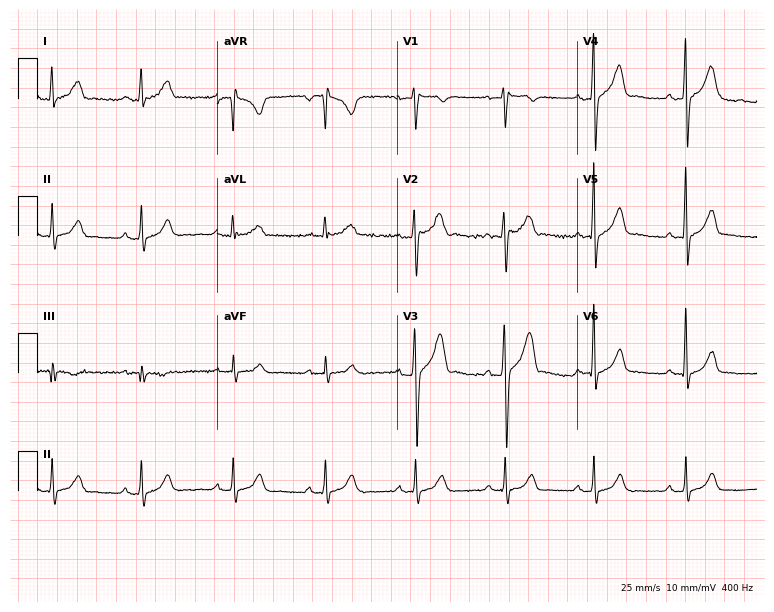
Electrocardiogram, a man, 36 years old. Of the six screened findings (first-degree AV block, right bundle branch block, left bundle branch block, sinus bradycardia, atrial fibrillation, sinus tachycardia), none is recorded. Findings outside these six are not listed.